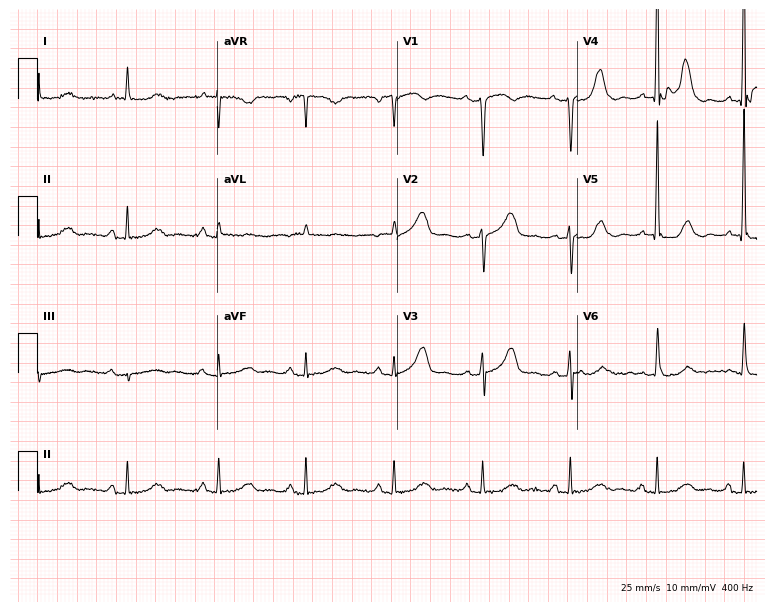
12-lead ECG from a 79-year-old female. Screened for six findings — first-degree AV block, right bundle branch block, left bundle branch block, sinus bradycardia, atrial fibrillation, sinus tachycardia — none is recorded.